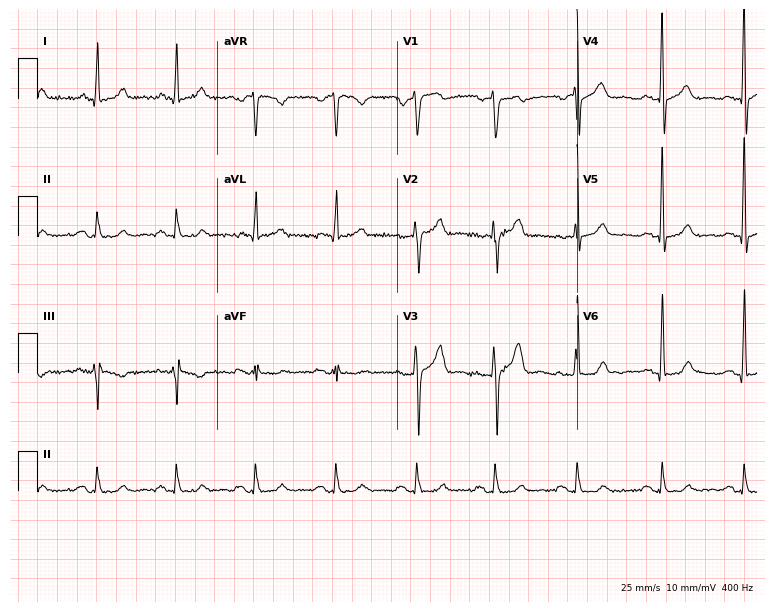
Standard 12-lead ECG recorded from a 40-year-old male patient. None of these six findings is recorded: first-degree AV block, right bundle branch block, left bundle branch block, sinus bradycardia, atrial fibrillation, sinus tachycardia.